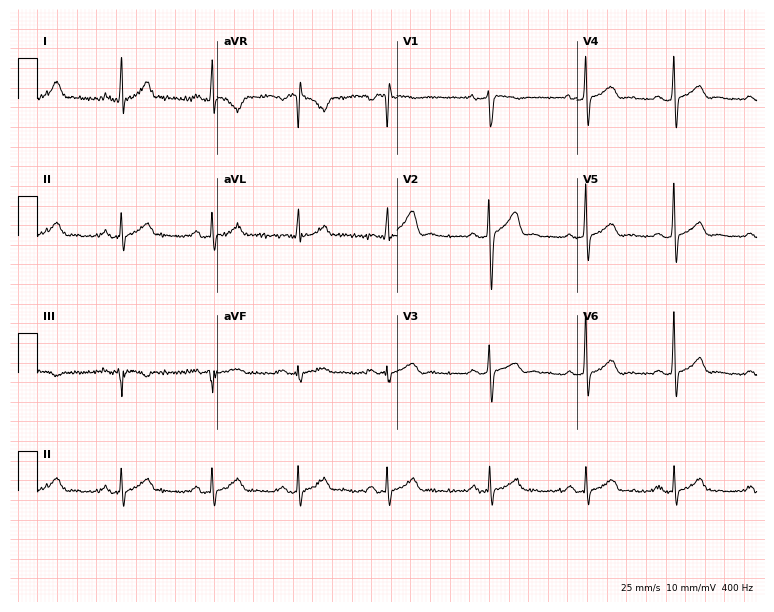
Electrocardiogram (7.3-second recording at 400 Hz), a 26-year-old man. Overall reading on record: normal ECG.